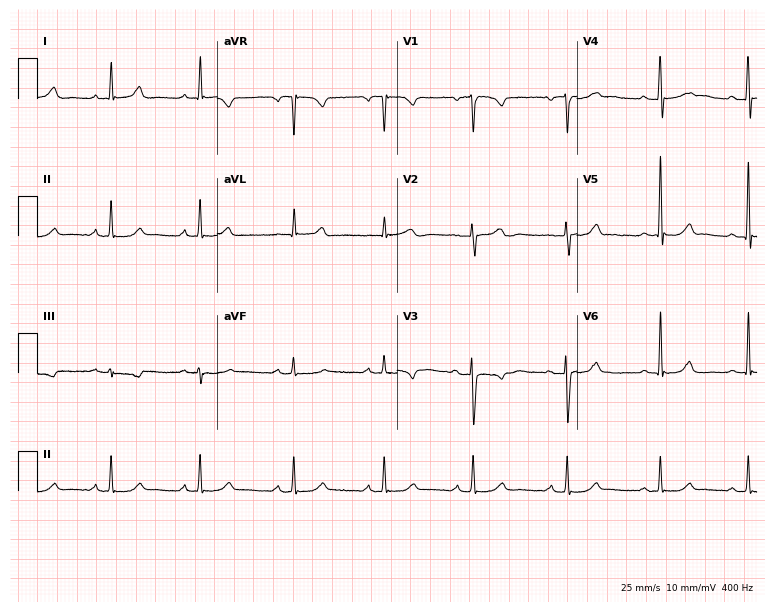
Standard 12-lead ECG recorded from a 46-year-old woman. Read as a normal ECG.